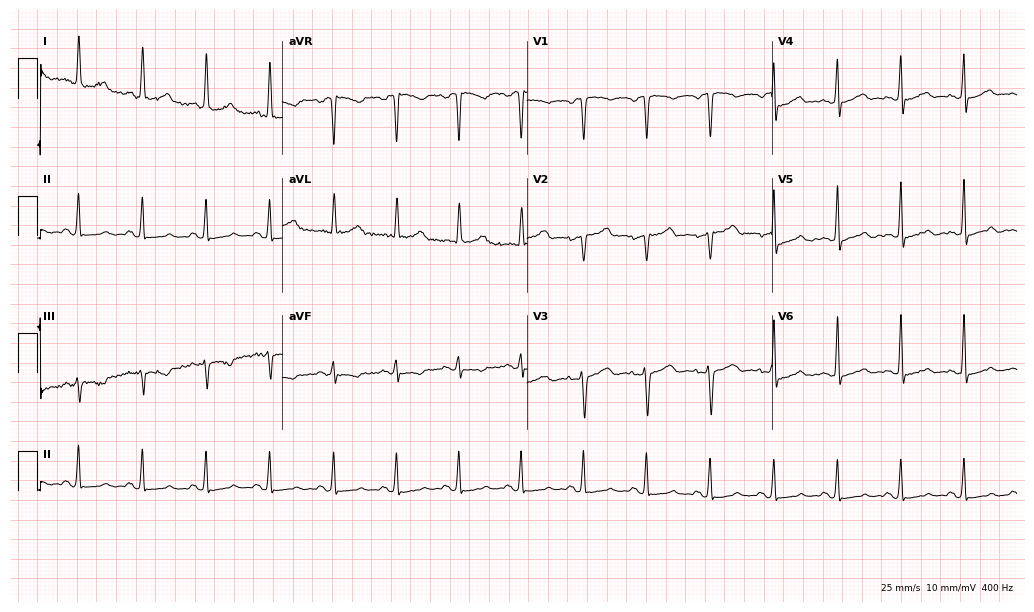
Standard 12-lead ECG recorded from a 49-year-old female patient (10-second recording at 400 Hz). None of these six findings is recorded: first-degree AV block, right bundle branch block (RBBB), left bundle branch block (LBBB), sinus bradycardia, atrial fibrillation (AF), sinus tachycardia.